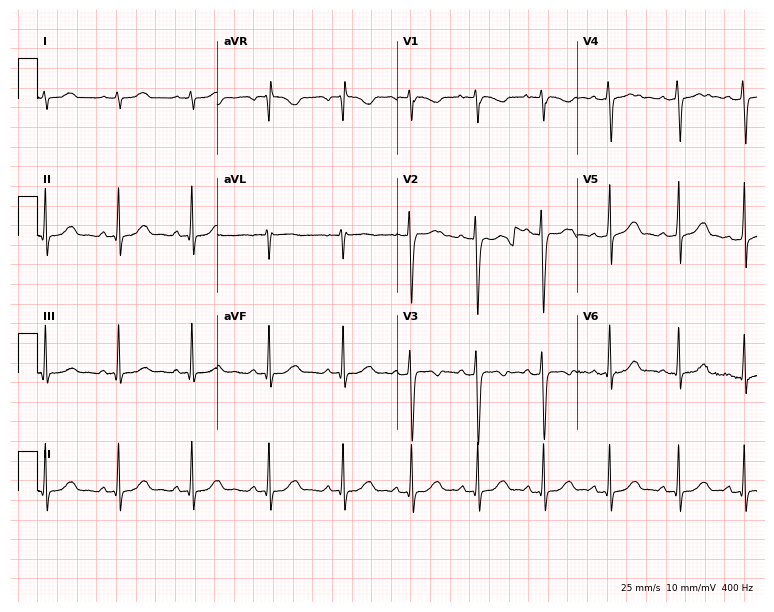
12-lead ECG (7.3-second recording at 400 Hz) from an 18-year-old woman. Screened for six findings — first-degree AV block, right bundle branch block, left bundle branch block, sinus bradycardia, atrial fibrillation, sinus tachycardia — none is recorded. Only these six findings were labelled.